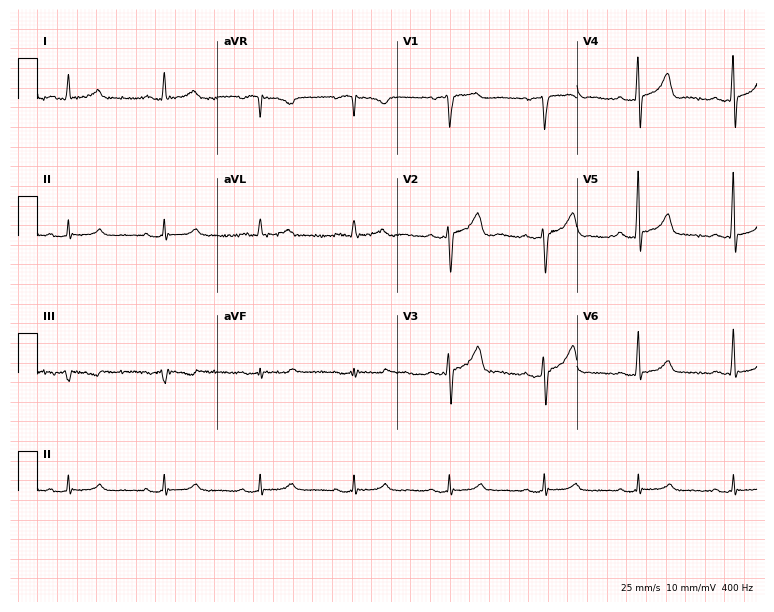
12-lead ECG (7.3-second recording at 400 Hz) from a 74-year-old man. Screened for six findings — first-degree AV block, right bundle branch block, left bundle branch block, sinus bradycardia, atrial fibrillation, sinus tachycardia — none is recorded. Other findings, if any, are not listed.